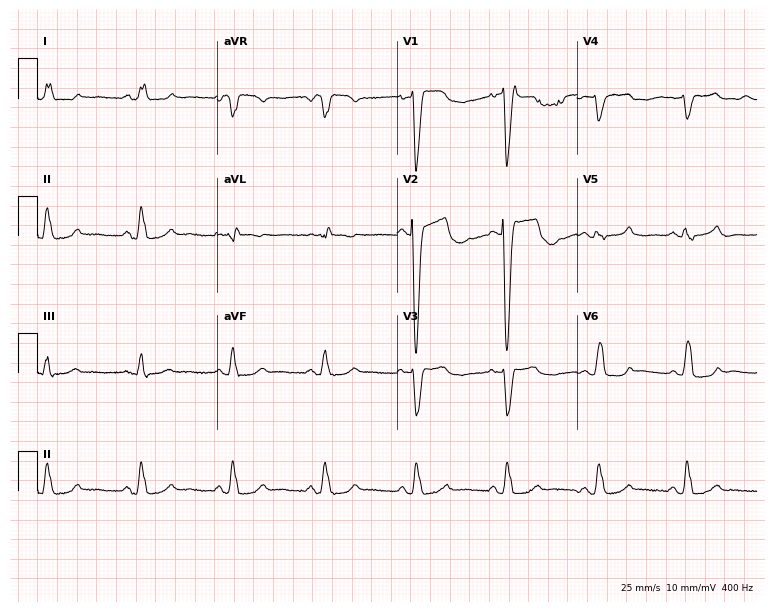
12-lead ECG from a 70-year-old woman. Findings include left bundle branch block (LBBB).